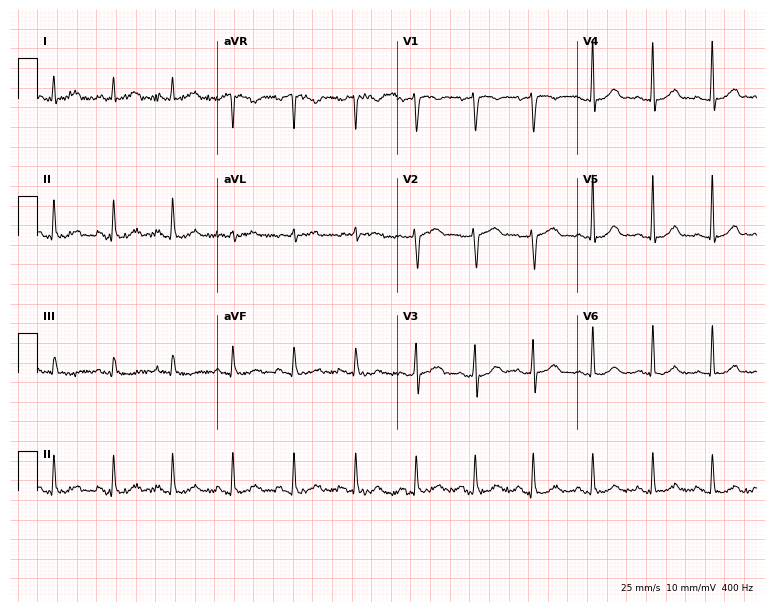
Electrocardiogram, a 43-year-old female patient. Of the six screened findings (first-degree AV block, right bundle branch block (RBBB), left bundle branch block (LBBB), sinus bradycardia, atrial fibrillation (AF), sinus tachycardia), none is recorded. Findings outside these six are not listed.